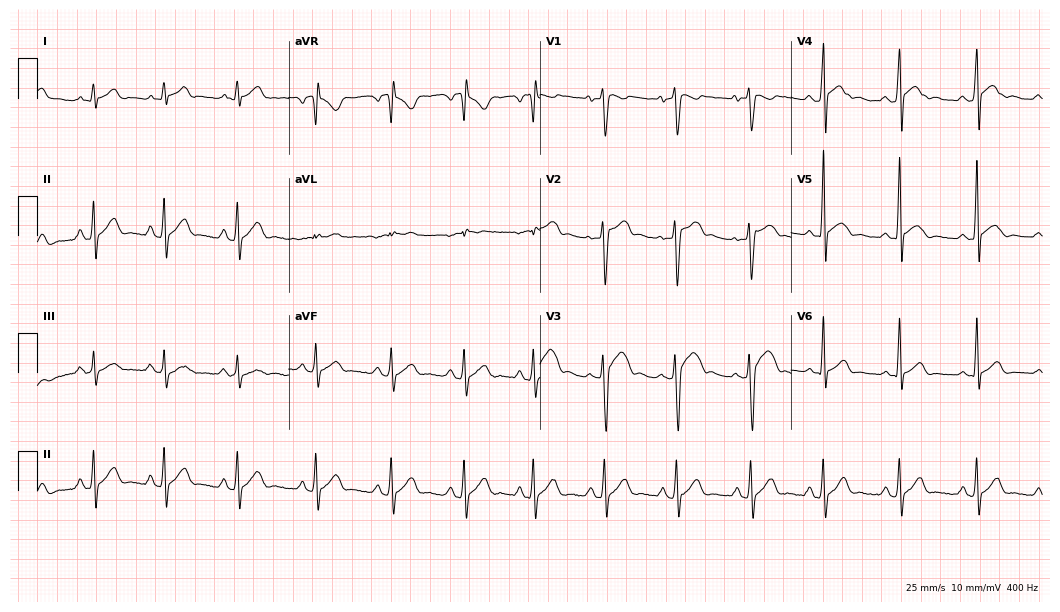
Electrocardiogram, an 18-year-old man. Overall reading on record: normal ECG.